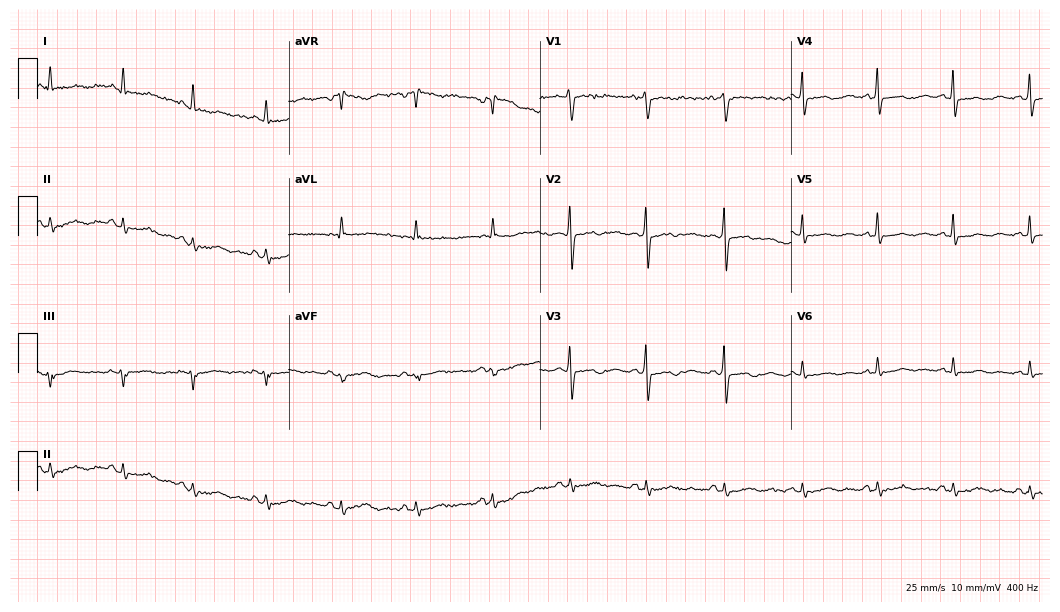
ECG (10.2-second recording at 400 Hz) — a female, 59 years old. Screened for six findings — first-degree AV block, right bundle branch block, left bundle branch block, sinus bradycardia, atrial fibrillation, sinus tachycardia — none is recorded.